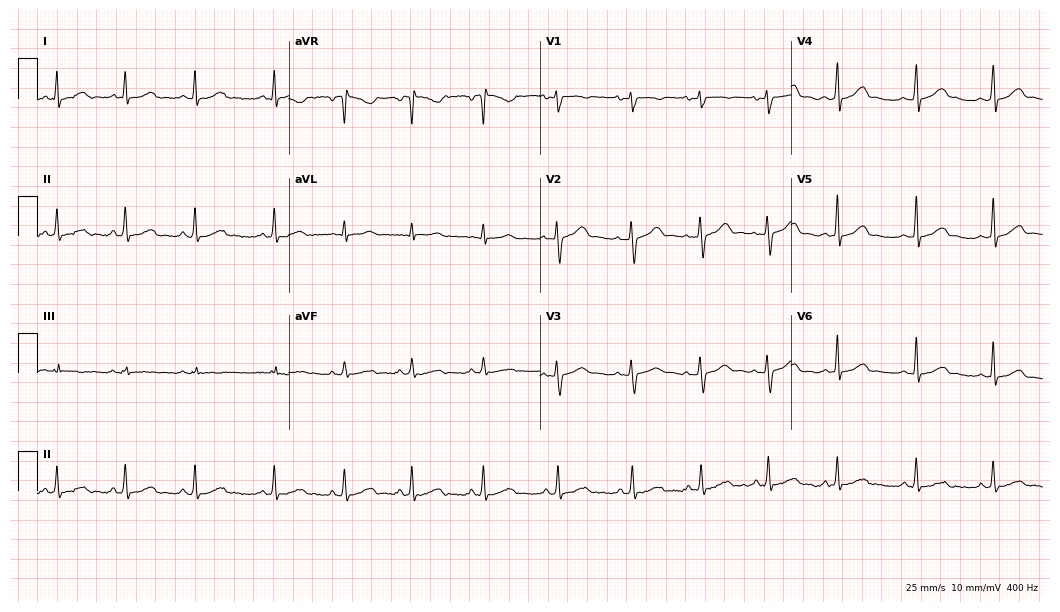
Electrocardiogram, a woman, 25 years old. Overall reading on record: normal ECG.